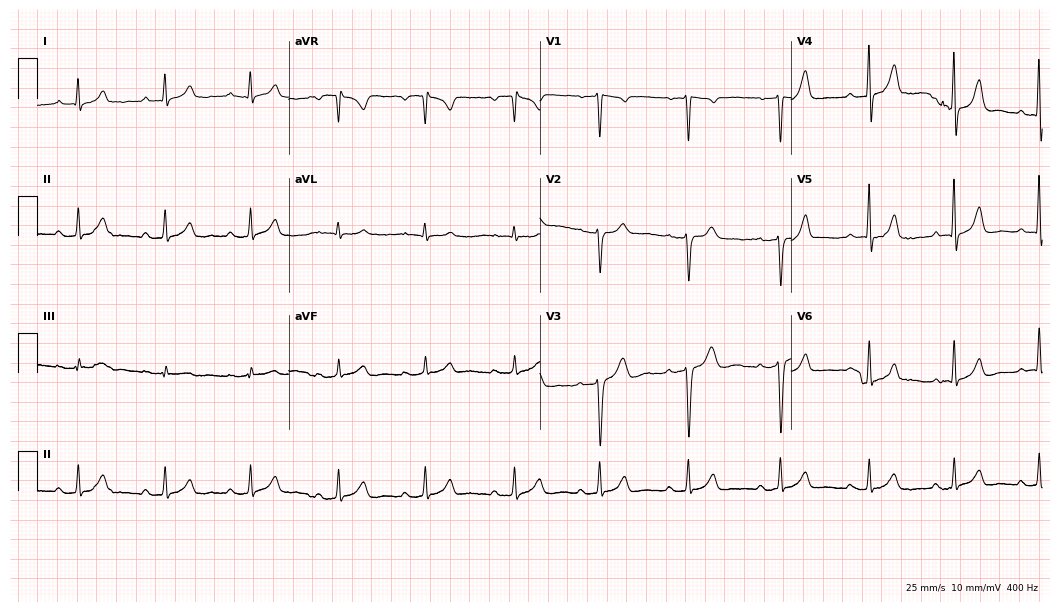
12-lead ECG from a 28-year-old male. Findings include first-degree AV block.